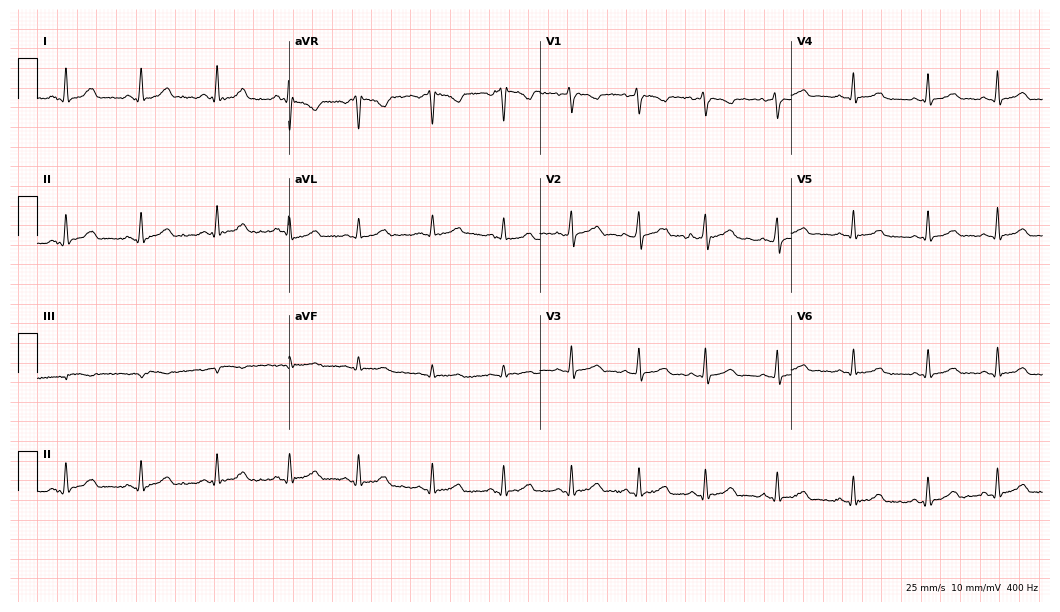
ECG (10.2-second recording at 400 Hz) — a 29-year-old female patient. Screened for six findings — first-degree AV block, right bundle branch block, left bundle branch block, sinus bradycardia, atrial fibrillation, sinus tachycardia — none is recorded. Findings outside these six are not listed.